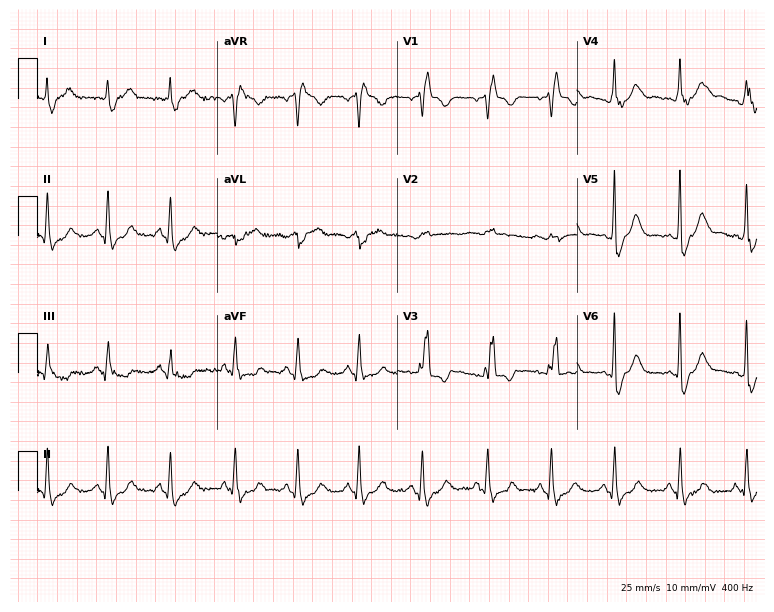
12-lead ECG from a man, 66 years old. Shows right bundle branch block (RBBB).